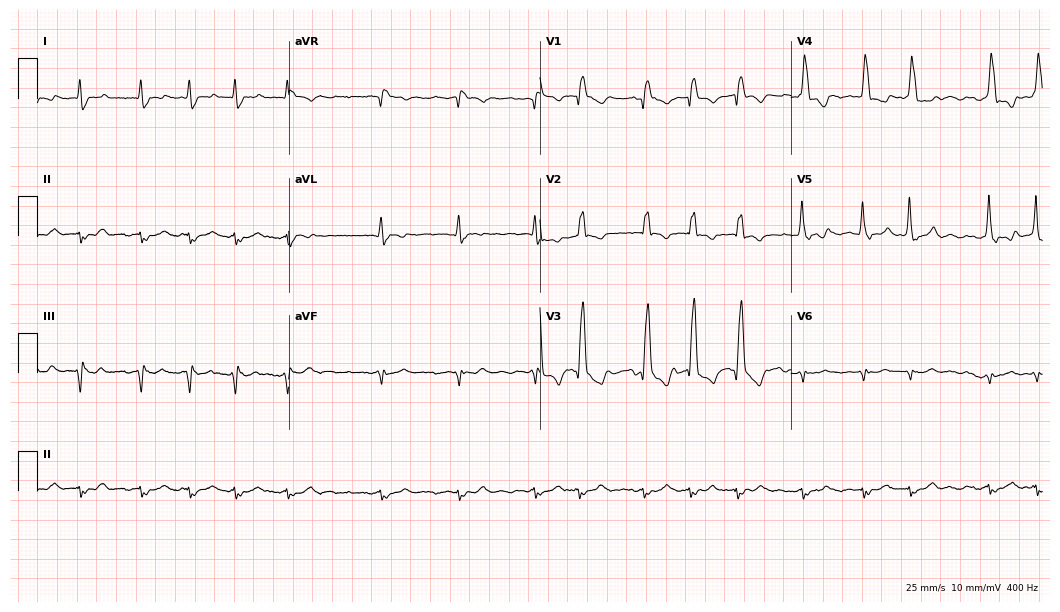
Standard 12-lead ECG recorded from a male, 80 years old (10.2-second recording at 400 Hz). The tracing shows right bundle branch block, atrial fibrillation.